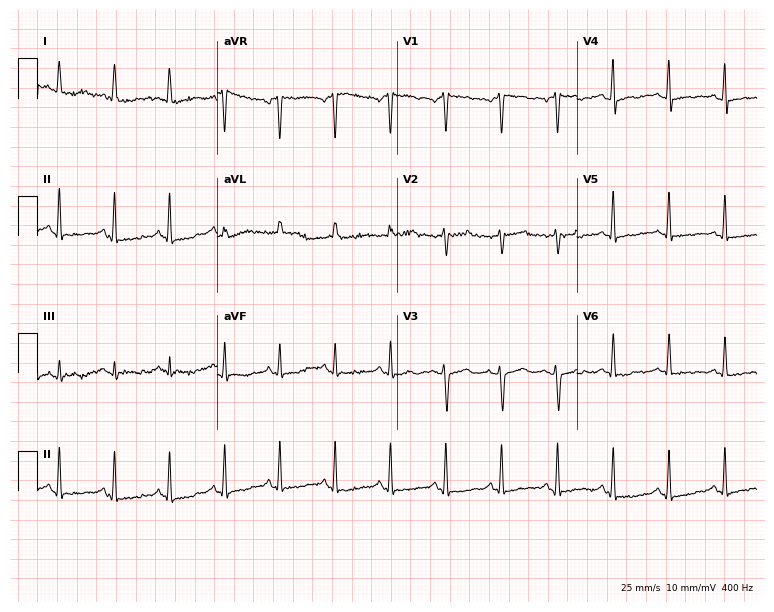
Electrocardiogram, a 40-year-old female. Interpretation includes sinus tachycardia (a sinus rate of 100 beats per minute or more).